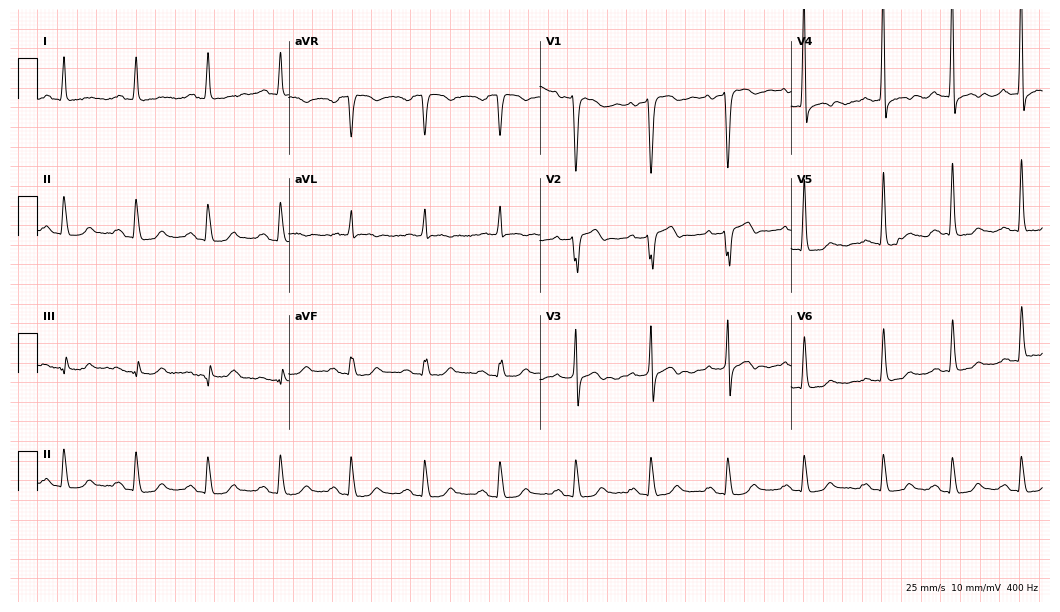
Electrocardiogram, a 61-year-old male. Of the six screened findings (first-degree AV block, right bundle branch block, left bundle branch block, sinus bradycardia, atrial fibrillation, sinus tachycardia), none is recorded.